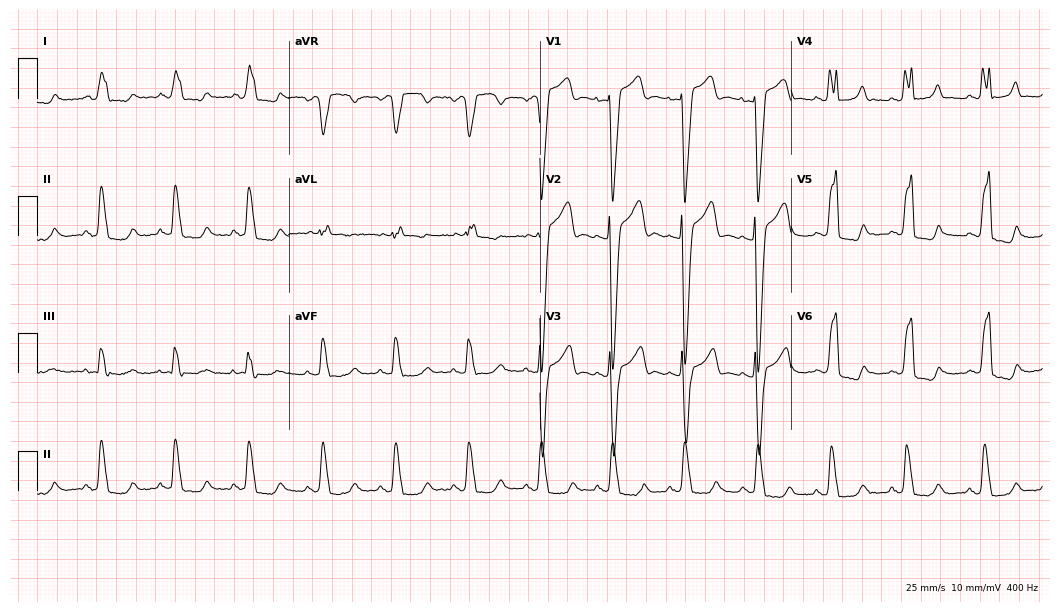
12-lead ECG from a 48-year-old female (10.2-second recording at 400 Hz). Shows left bundle branch block.